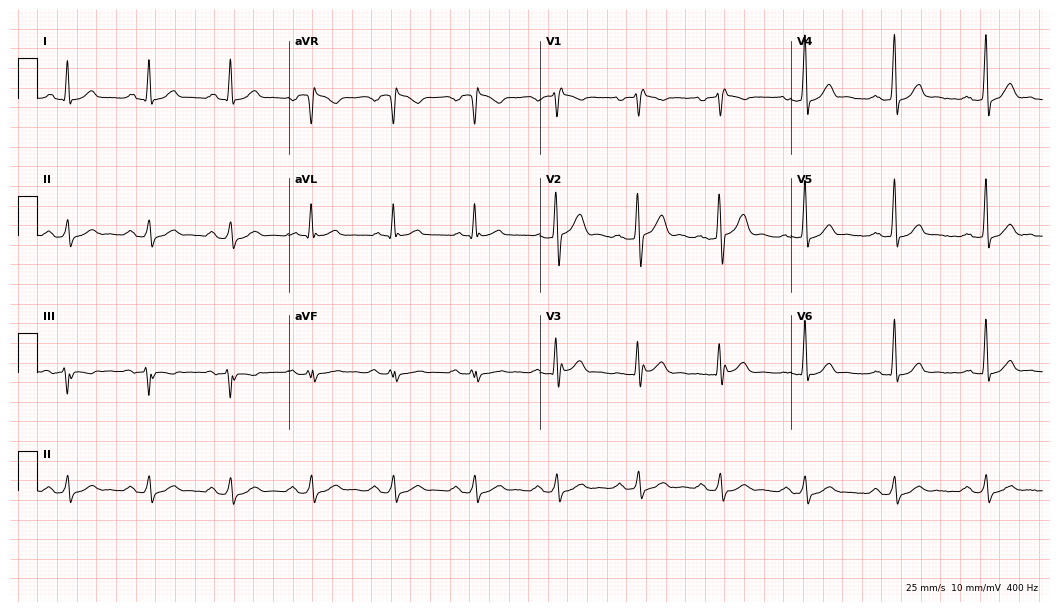
Electrocardiogram (10.2-second recording at 400 Hz), a 45-year-old male patient. Interpretation includes right bundle branch block.